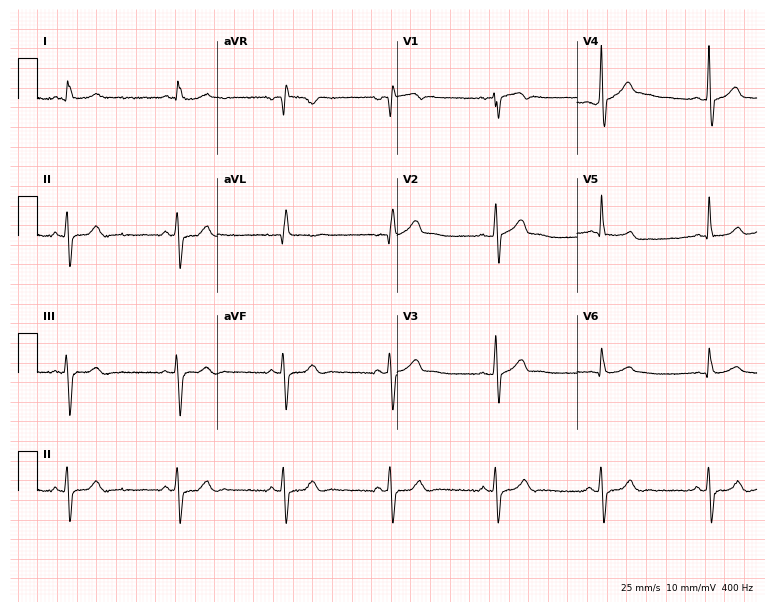
Resting 12-lead electrocardiogram (7.3-second recording at 400 Hz). Patient: a 71-year-old male. None of these six findings is recorded: first-degree AV block, right bundle branch block, left bundle branch block, sinus bradycardia, atrial fibrillation, sinus tachycardia.